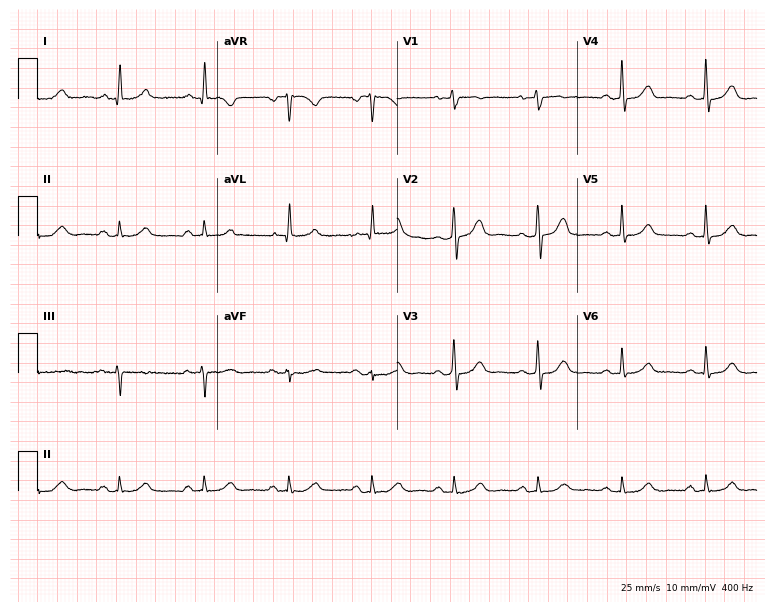
Electrocardiogram (7.3-second recording at 400 Hz), a 58-year-old woman. Overall reading on record: normal ECG.